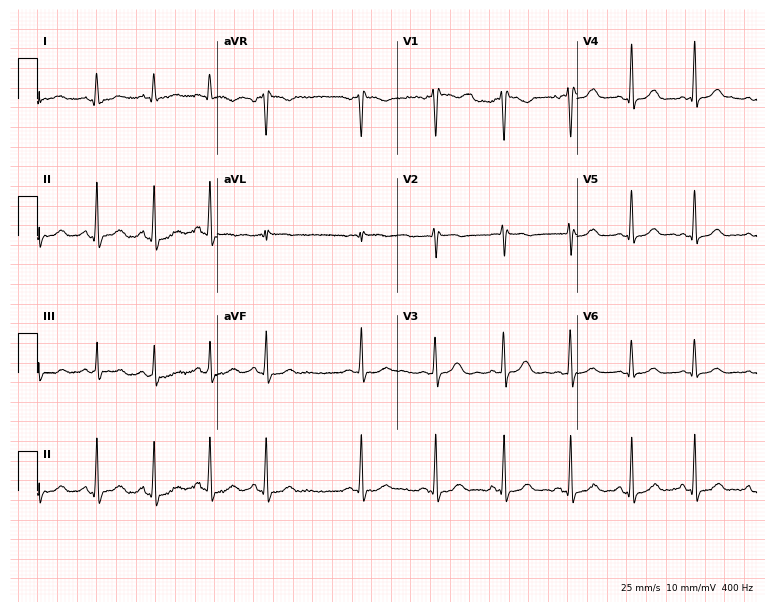
Standard 12-lead ECG recorded from a female patient, 23 years old (7.3-second recording at 400 Hz). Read as a normal ECG.